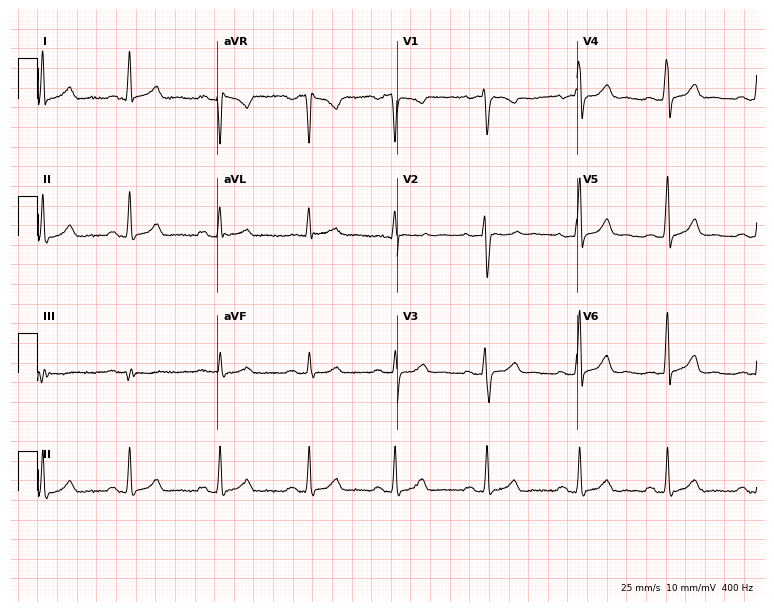
12-lead ECG from a woman, 34 years old. Labelled as a normal ECG.